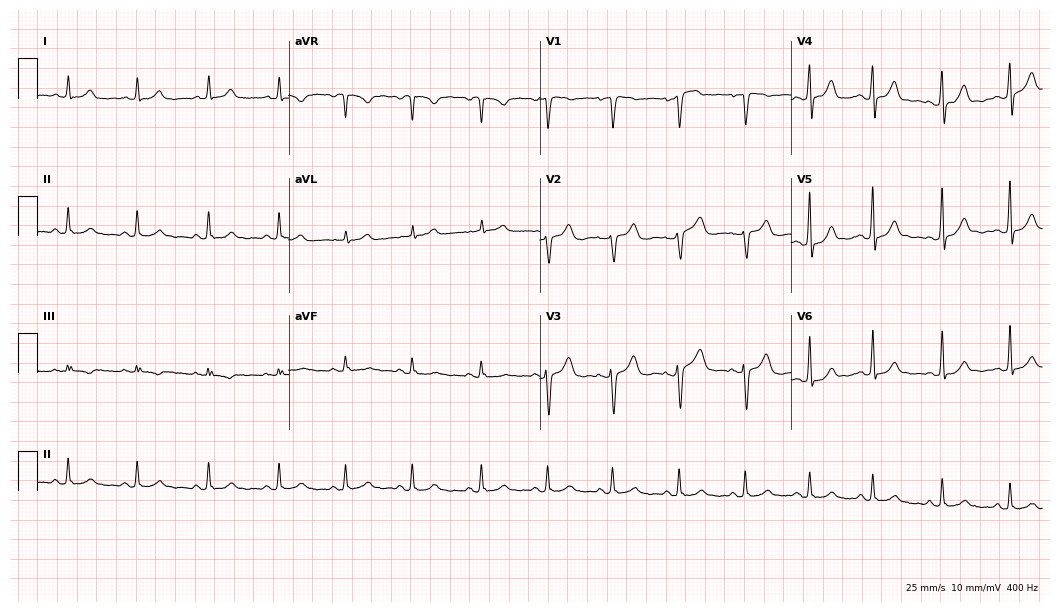
Standard 12-lead ECG recorded from a 38-year-old female patient (10.2-second recording at 400 Hz). Read as a normal ECG.